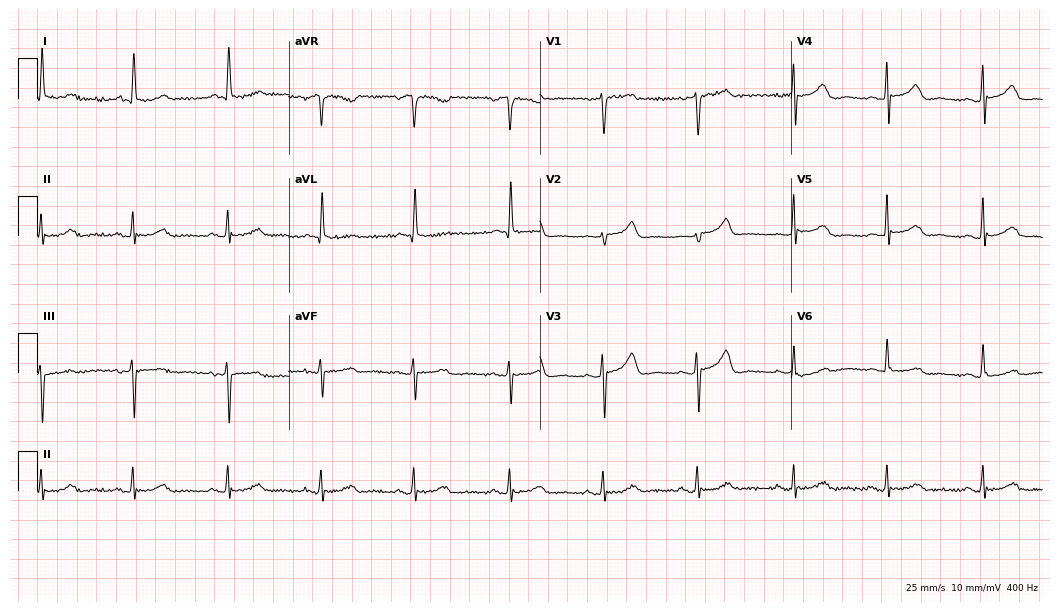
12-lead ECG from a female patient, 71 years old. Screened for six findings — first-degree AV block, right bundle branch block, left bundle branch block, sinus bradycardia, atrial fibrillation, sinus tachycardia — none is recorded.